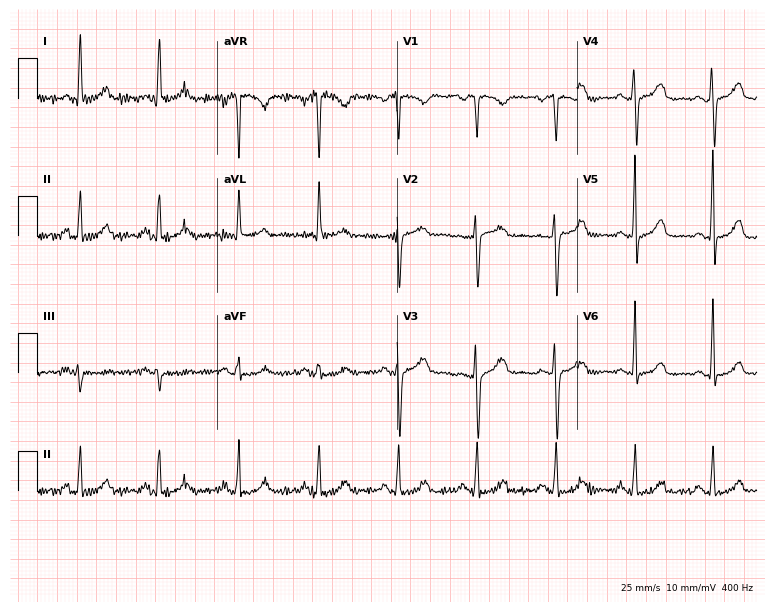
Resting 12-lead electrocardiogram (7.3-second recording at 400 Hz). Patient: a 39-year-old female. Read as a normal ECG.